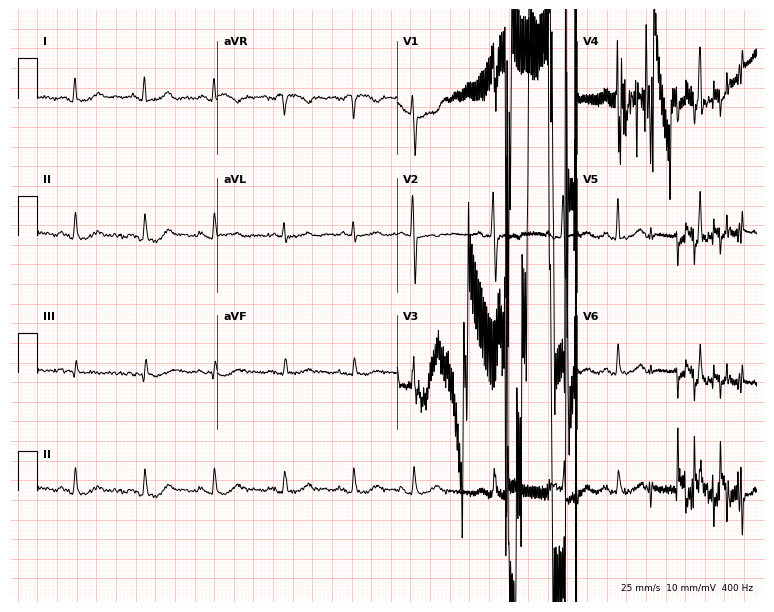
Standard 12-lead ECG recorded from a male patient, 69 years old (7.3-second recording at 400 Hz). None of these six findings is recorded: first-degree AV block, right bundle branch block, left bundle branch block, sinus bradycardia, atrial fibrillation, sinus tachycardia.